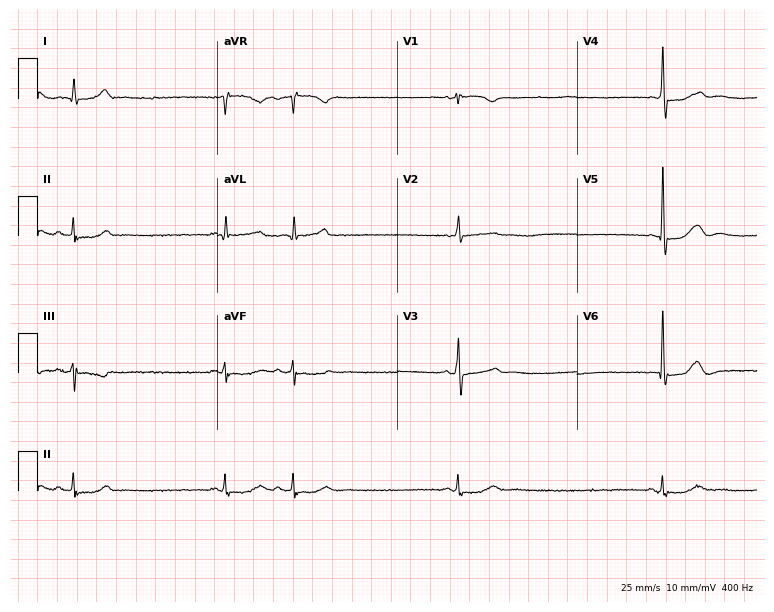
Standard 12-lead ECG recorded from a female, 83 years old. The tracing shows sinus bradycardia (a sinus rate of 50 beats per minute or less).